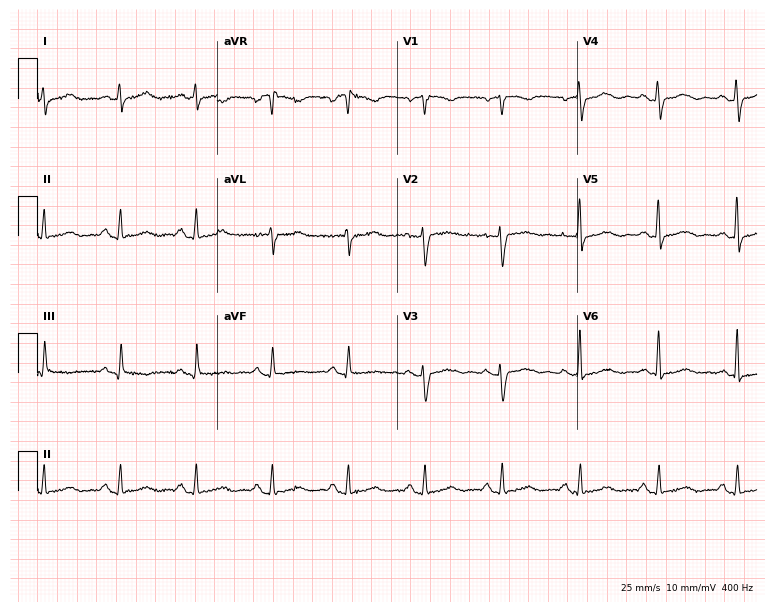
12-lead ECG from a female patient, 66 years old. Screened for six findings — first-degree AV block, right bundle branch block, left bundle branch block, sinus bradycardia, atrial fibrillation, sinus tachycardia — none is recorded. Other findings, if any, are not listed.